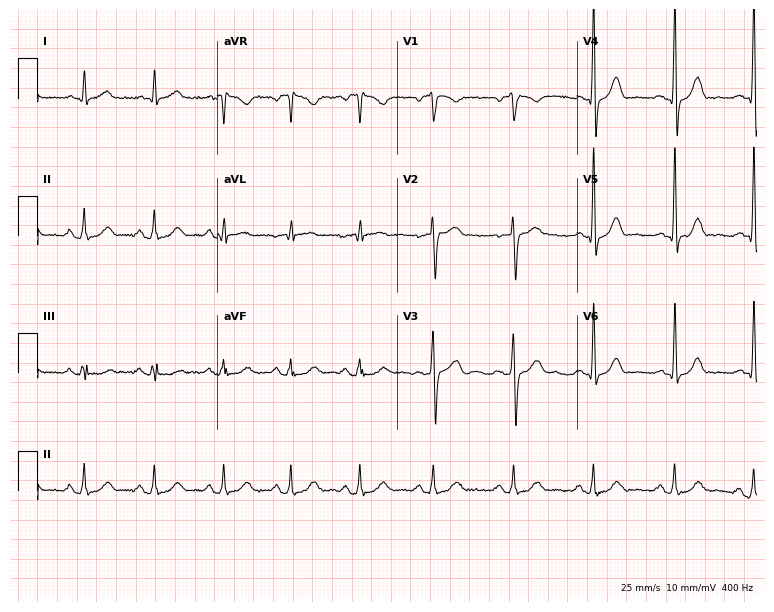
Standard 12-lead ECG recorded from a man, 50 years old. Read as a normal ECG.